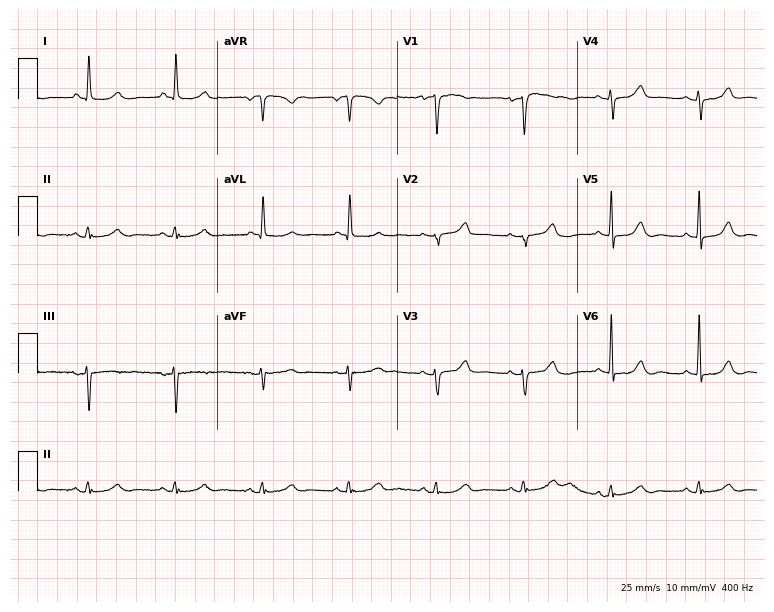
12-lead ECG from an 84-year-old female (7.3-second recording at 400 Hz). No first-degree AV block, right bundle branch block (RBBB), left bundle branch block (LBBB), sinus bradycardia, atrial fibrillation (AF) or sinus tachycardia recorded for this tracing. Other findings, if any, are not listed.